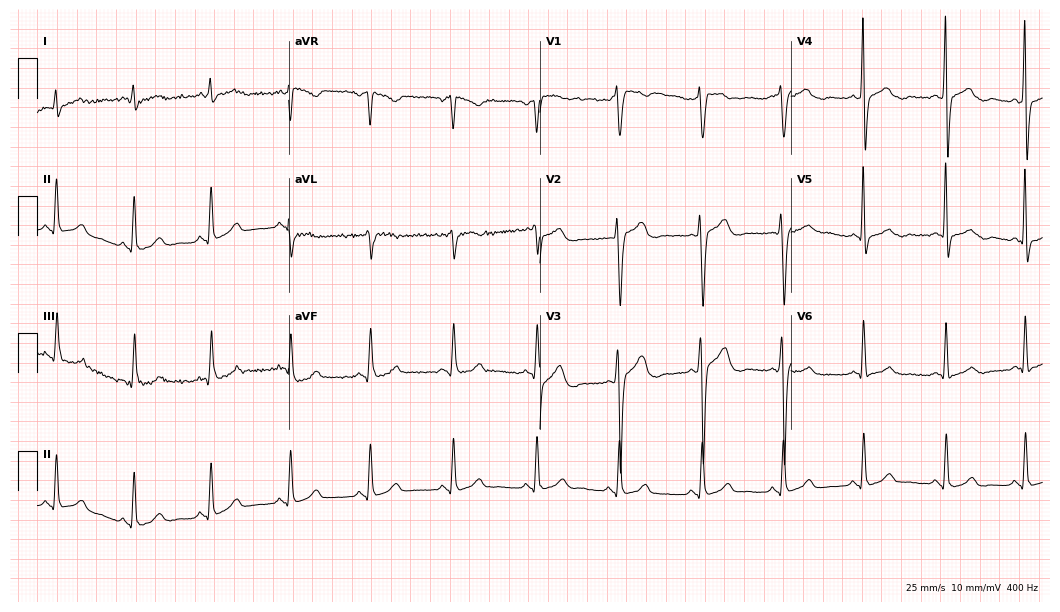
Electrocardiogram, a male, 49 years old. Of the six screened findings (first-degree AV block, right bundle branch block, left bundle branch block, sinus bradycardia, atrial fibrillation, sinus tachycardia), none is recorded. Other findings, if any, are not listed.